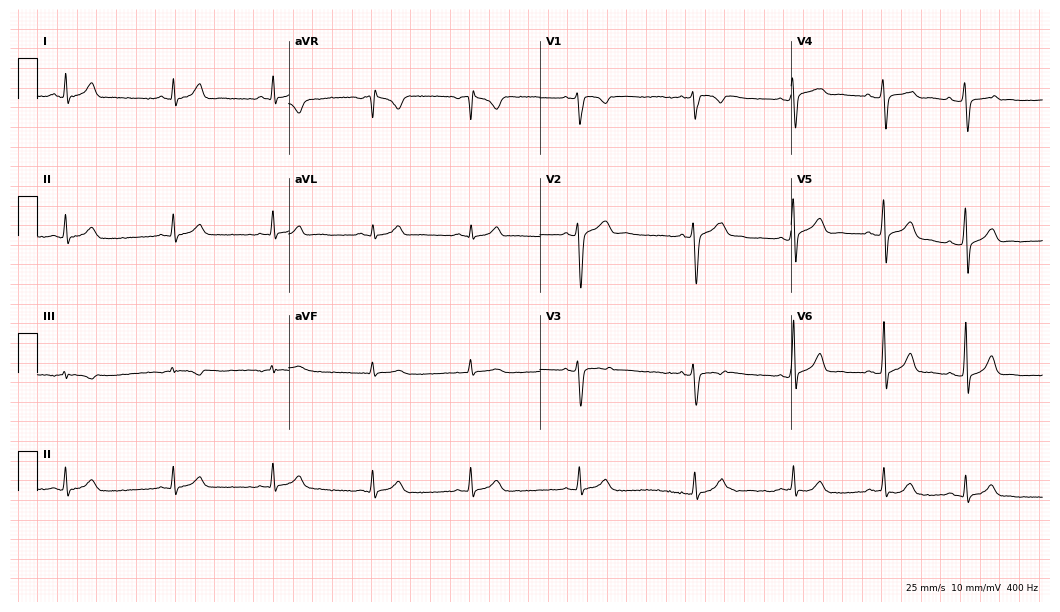
Electrocardiogram, a 32-year-old male. Overall reading on record: normal ECG.